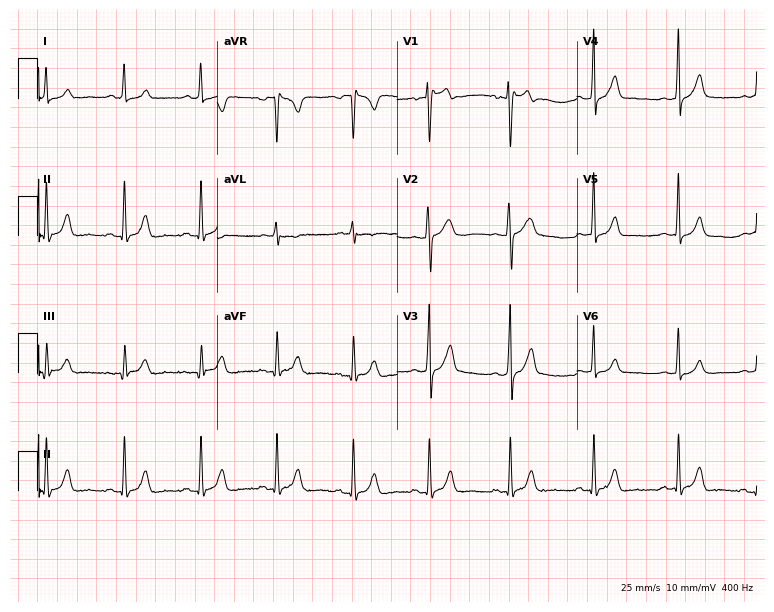
Standard 12-lead ECG recorded from a male, 33 years old. Read as a normal ECG.